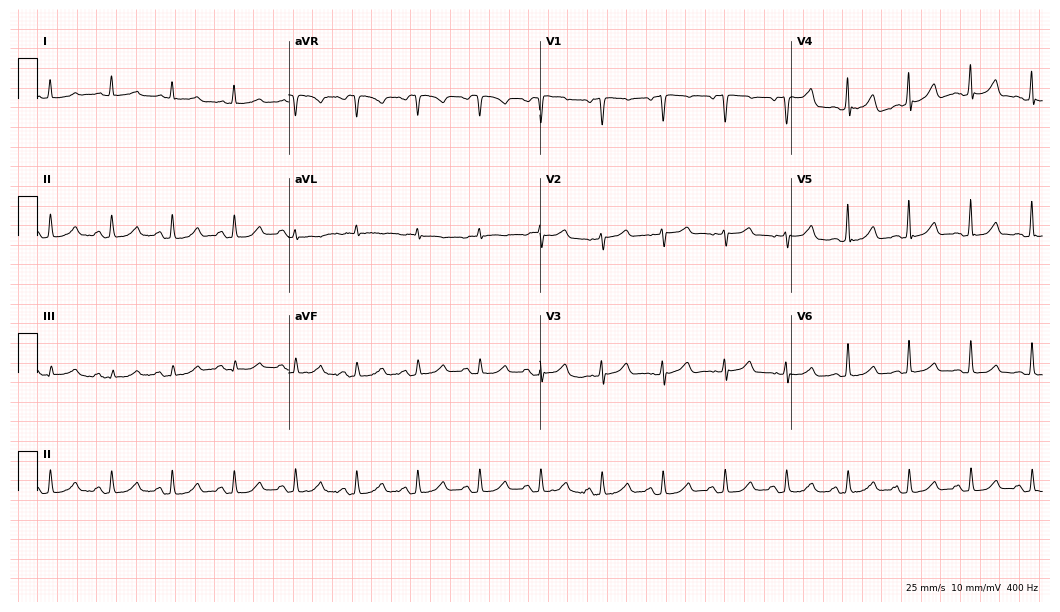
12-lead ECG from a 72-year-old female. No first-degree AV block, right bundle branch block, left bundle branch block, sinus bradycardia, atrial fibrillation or sinus tachycardia recorded for this tracing.